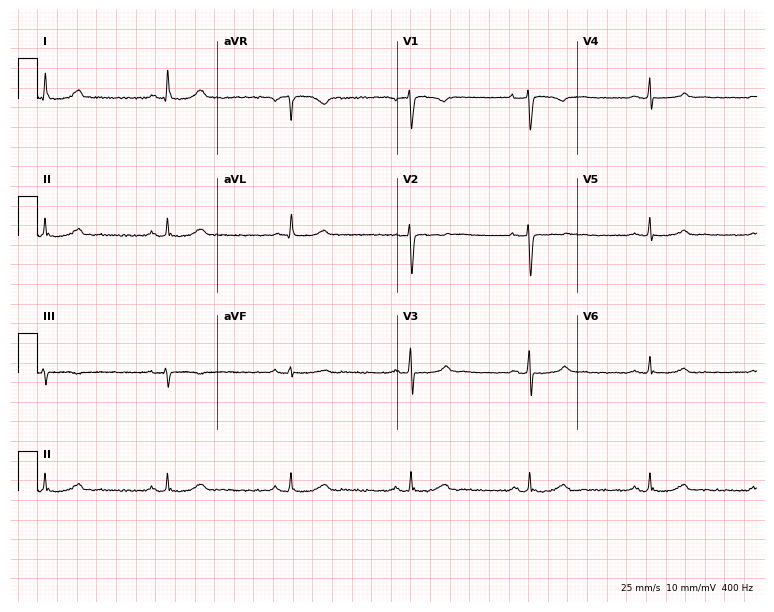
Resting 12-lead electrocardiogram. Patient: a 54-year-old woman. Read as a normal ECG.